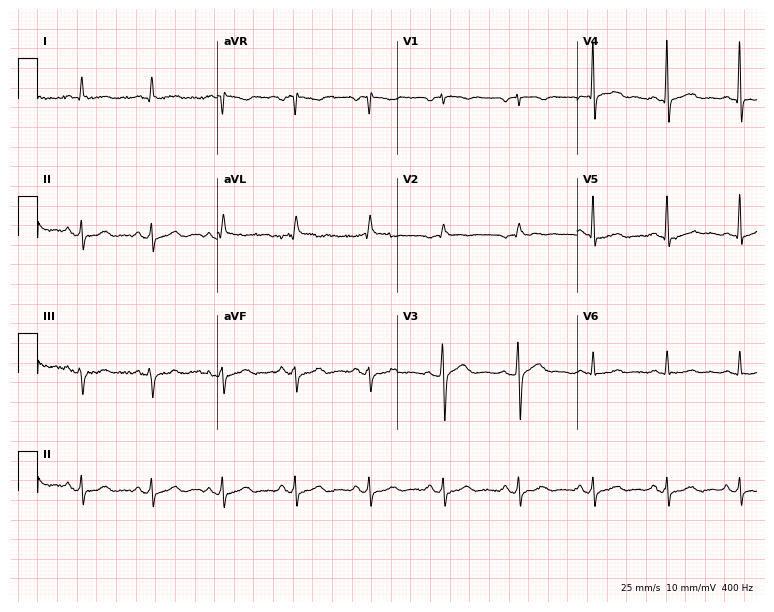
Electrocardiogram (7.3-second recording at 400 Hz), a female, 80 years old. Overall reading on record: normal ECG.